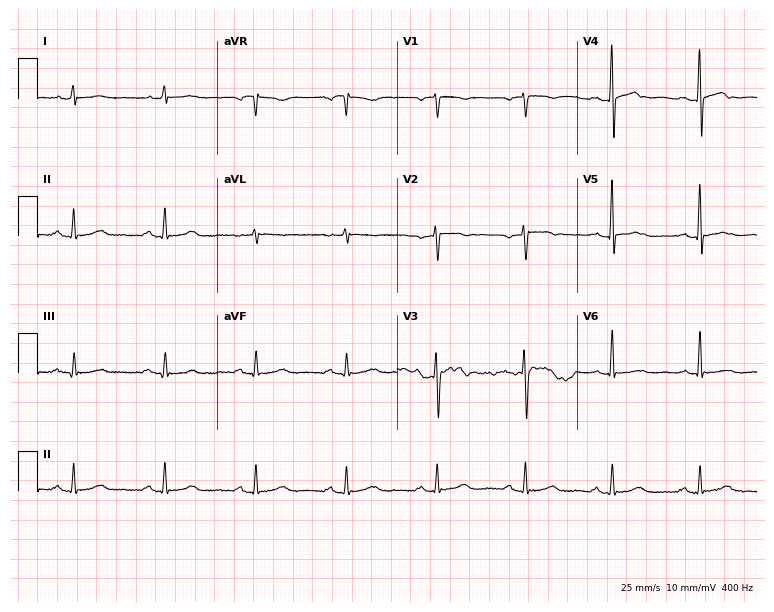
Standard 12-lead ECG recorded from a woman, 50 years old. None of these six findings is recorded: first-degree AV block, right bundle branch block (RBBB), left bundle branch block (LBBB), sinus bradycardia, atrial fibrillation (AF), sinus tachycardia.